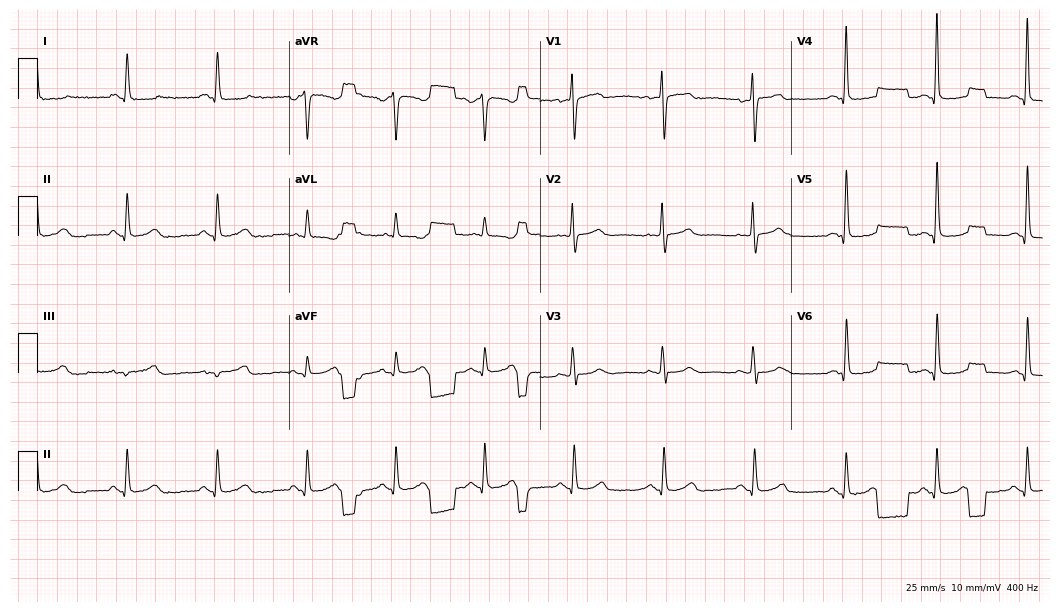
ECG — a 59-year-old female patient. Screened for six findings — first-degree AV block, right bundle branch block (RBBB), left bundle branch block (LBBB), sinus bradycardia, atrial fibrillation (AF), sinus tachycardia — none is recorded.